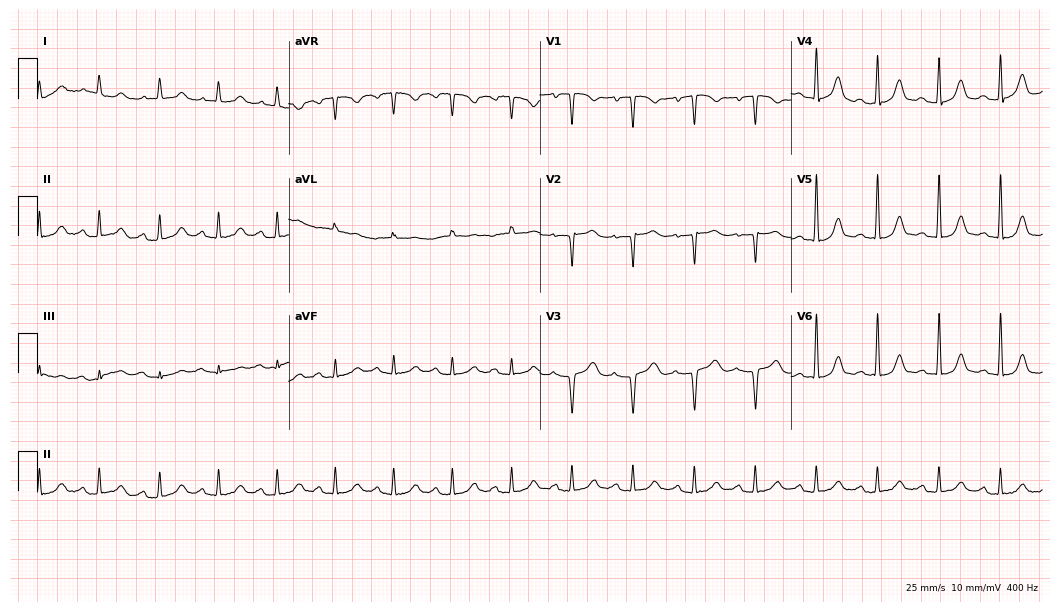
Electrocardiogram, a female patient, 56 years old. Of the six screened findings (first-degree AV block, right bundle branch block, left bundle branch block, sinus bradycardia, atrial fibrillation, sinus tachycardia), none is recorded. Only these six findings were labelled.